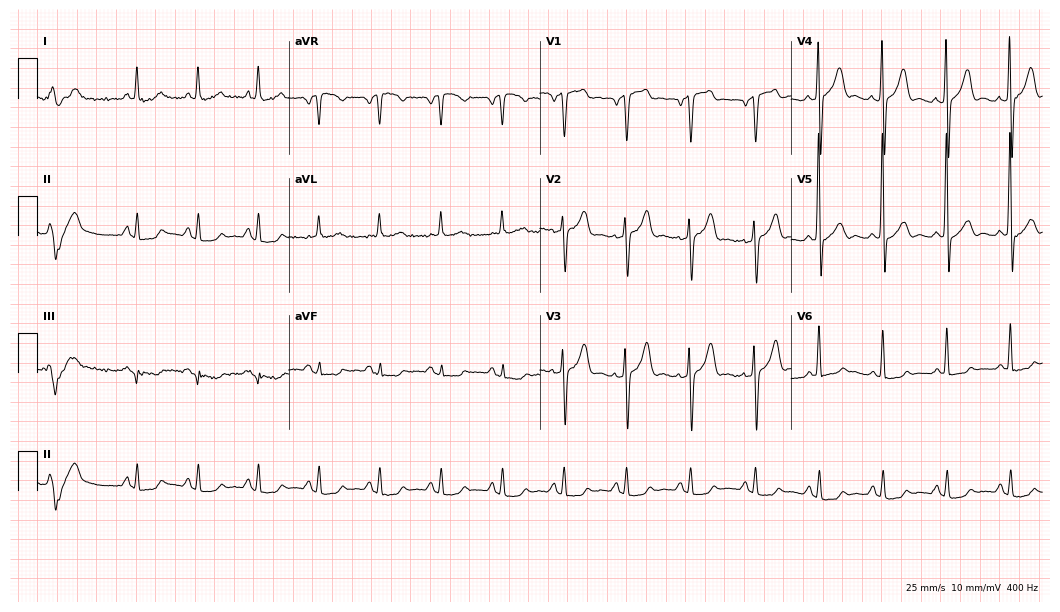
Resting 12-lead electrocardiogram. Patient: a male, 63 years old. None of these six findings is recorded: first-degree AV block, right bundle branch block, left bundle branch block, sinus bradycardia, atrial fibrillation, sinus tachycardia.